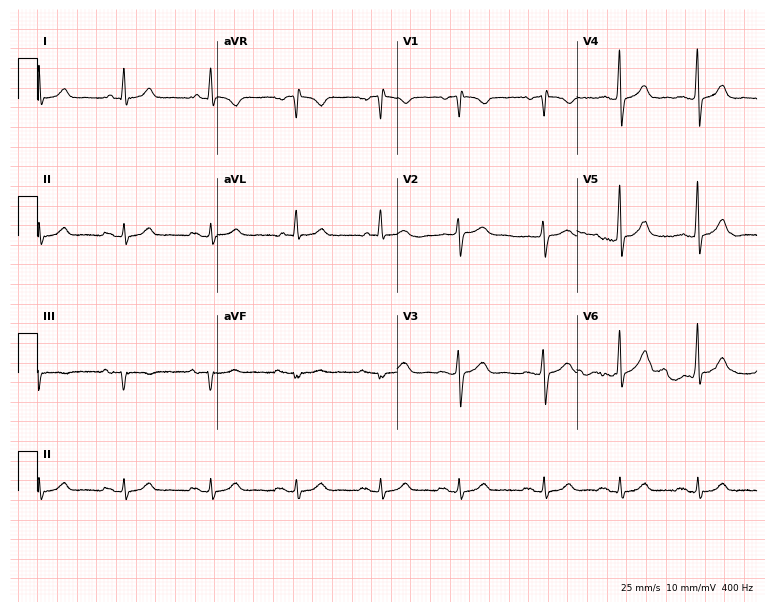
ECG — a male patient, 76 years old. Labelled as a normal ECG.